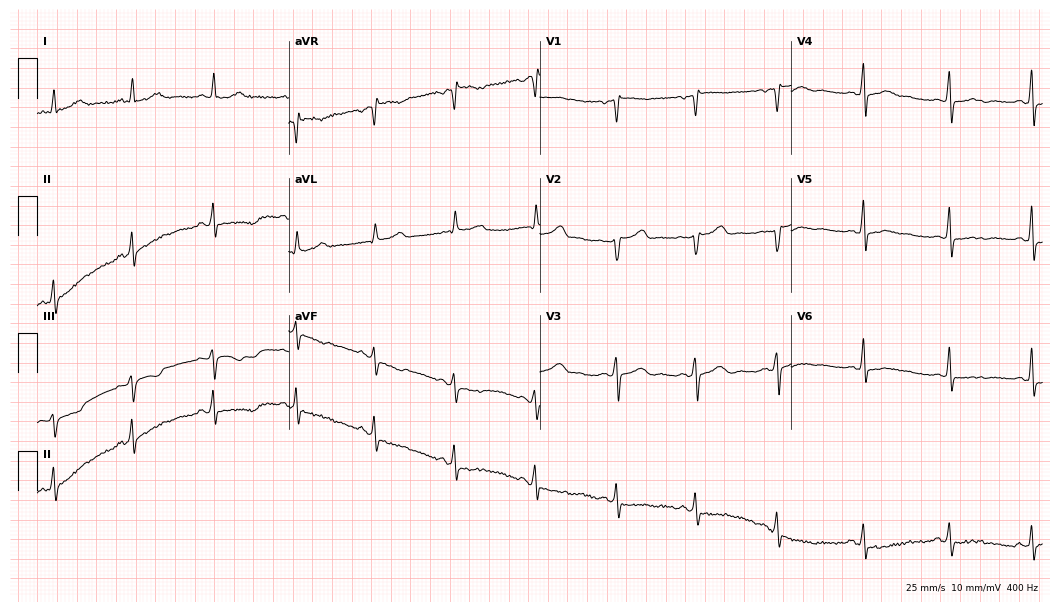
Resting 12-lead electrocardiogram (10.2-second recording at 400 Hz). Patient: a woman, 52 years old. None of these six findings is recorded: first-degree AV block, right bundle branch block, left bundle branch block, sinus bradycardia, atrial fibrillation, sinus tachycardia.